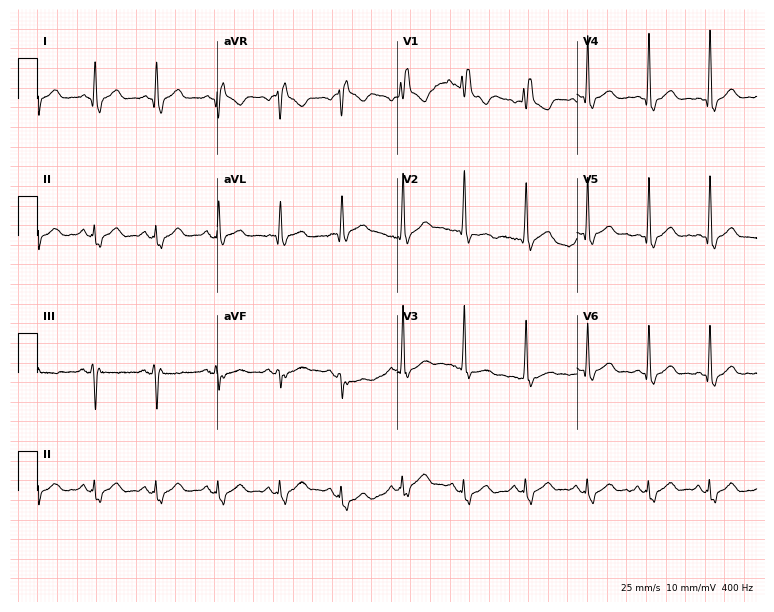
Standard 12-lead ECG recorded from a female patient, 53 years old. The tracing shows right bundle branch block.